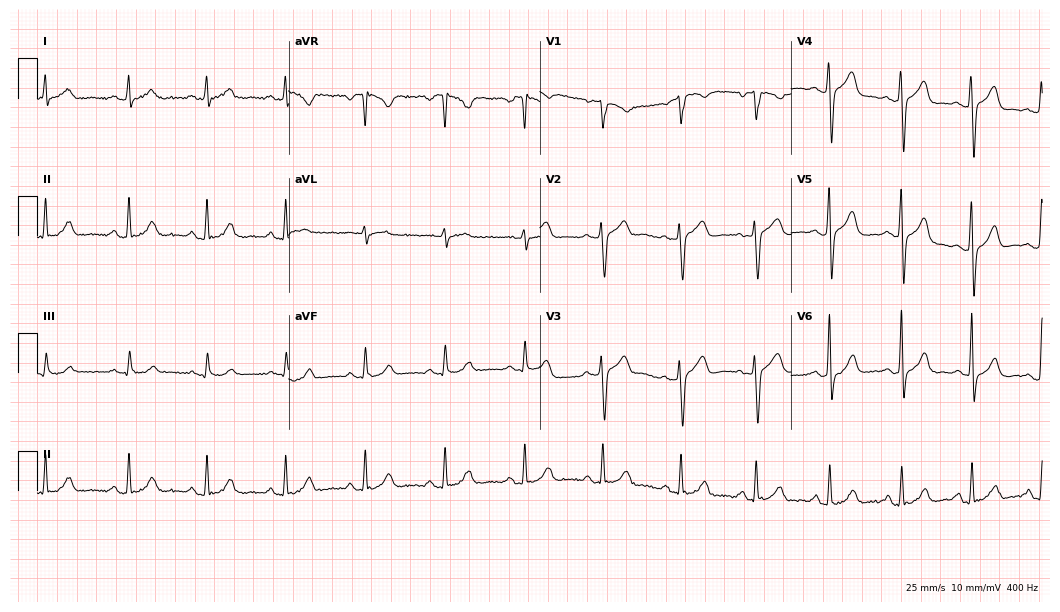
12-lead ECG from a man, 47 years old (10.2-second recording at 400 Hz). Recorded interpretation: within normal limits.